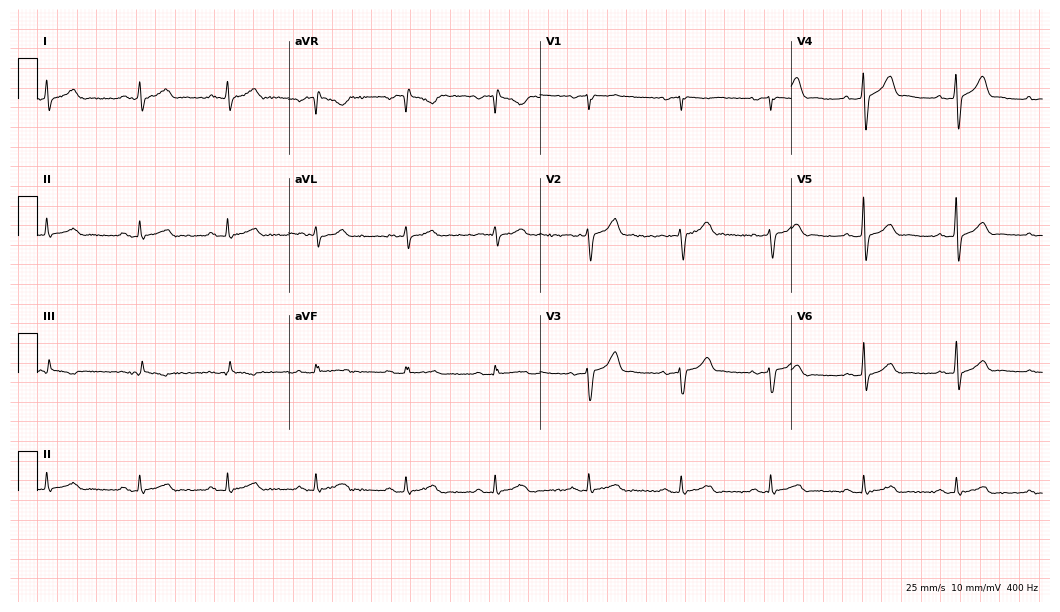
12-lead ECG from a man, 34 years old. Recorded interpretation: within normal limits.